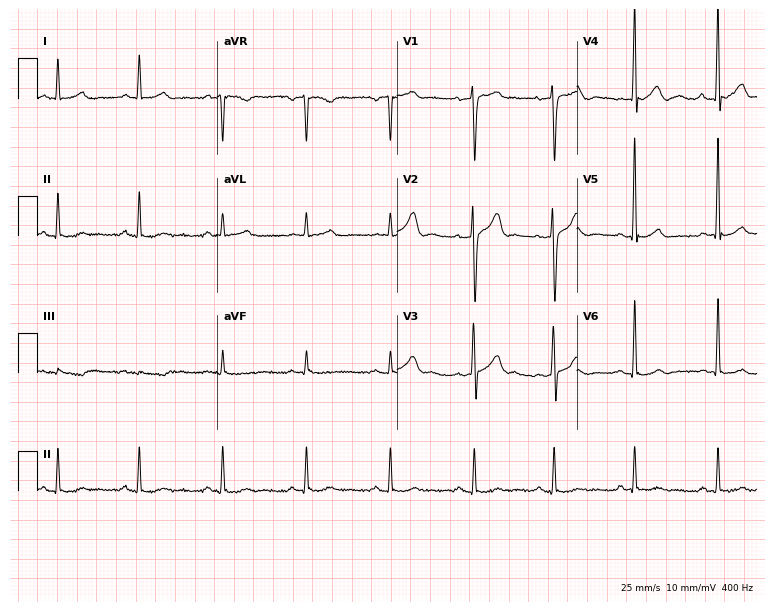
Resting 12-lead electrocardiogram. Patient: a man, 29 years old. Read as a normal ECG.